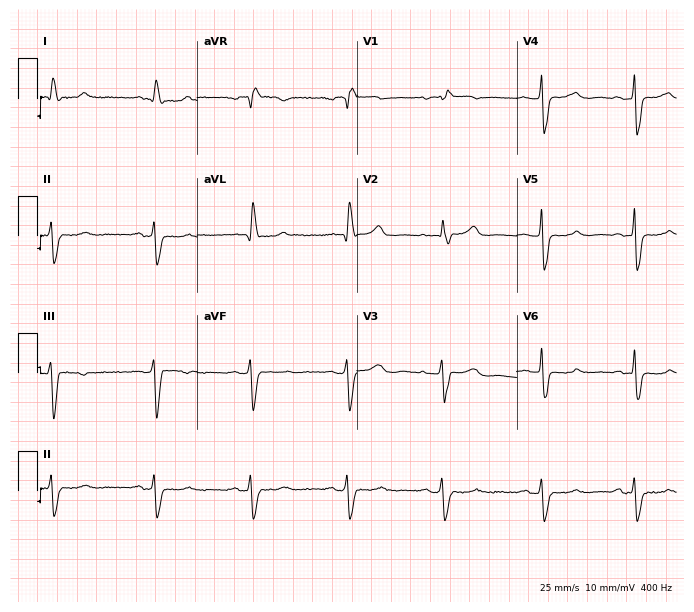
12-lead ECG (6.5-second recording at 400 Hz) from a woman, 70 years old. Screened for six findings — first-degree AV block, right bundle branch block, left bundle branch block, sinus bradycardia, atrial fibrillation, sinus tachycardia — none is recorded. Other findings, if any, are not listed.